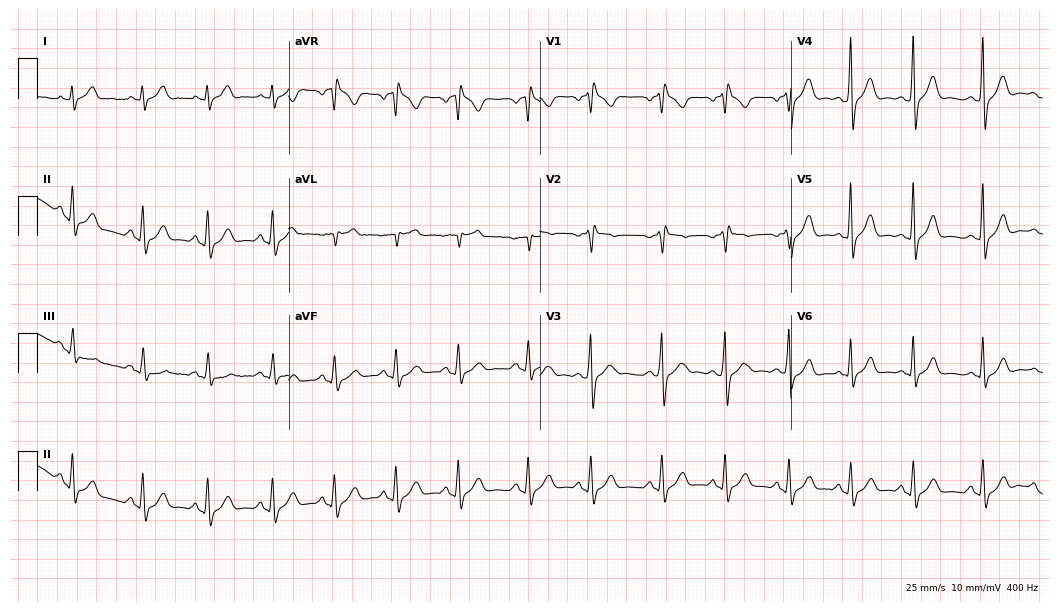
Standard 12-lead ECG recorded from a 31-year-old man. None of these six findings is recorded: first-degree AV block, right bundle branch block, left bundle branch block, sinus bradycardia, atrial fibrillation, sinus tachycardia.